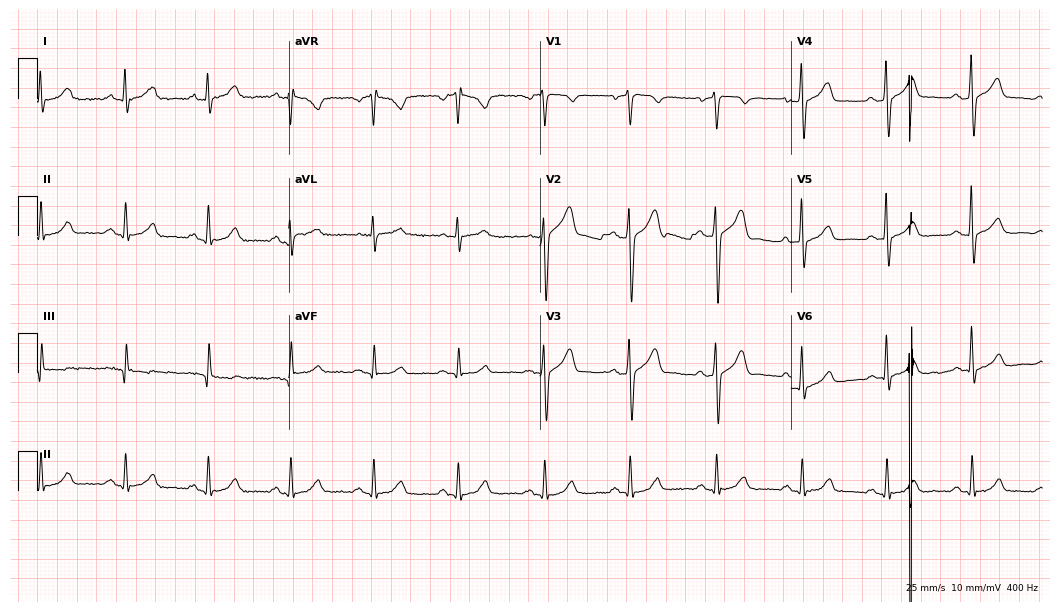
Electrocardiogram (10.2-second recording at 400 Hz), a 50-year-old male. Overall reading on record: normal ECG.